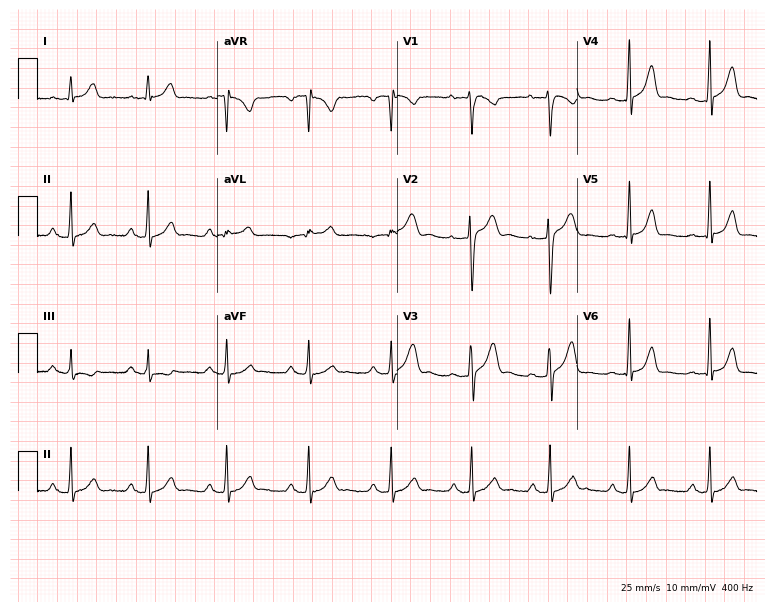
Resting 12-lead electrocardiogram (7.3-second recording at 400 Hz). Patient: a male, 30 years old. Read as a normal ECG.